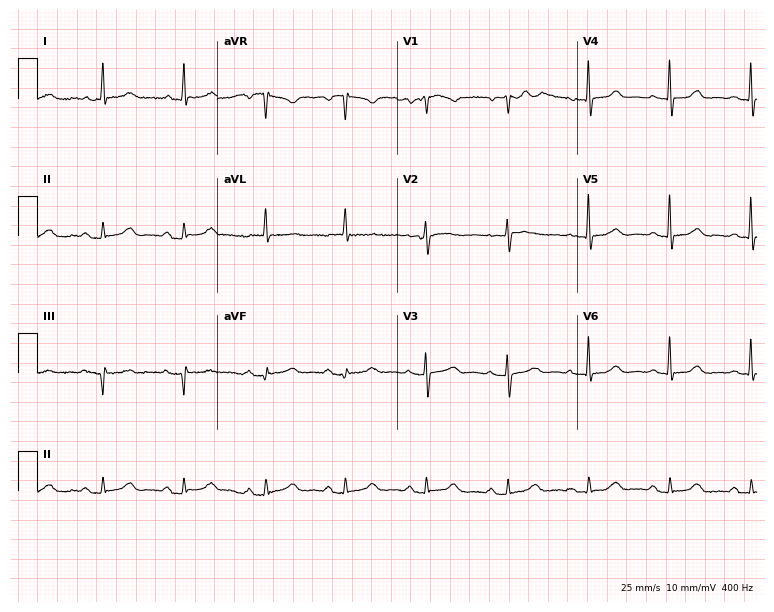
ECG (7.3-second recording at 400 Hz) — a 75-year-old female patient. Labelled as a normal ECG.